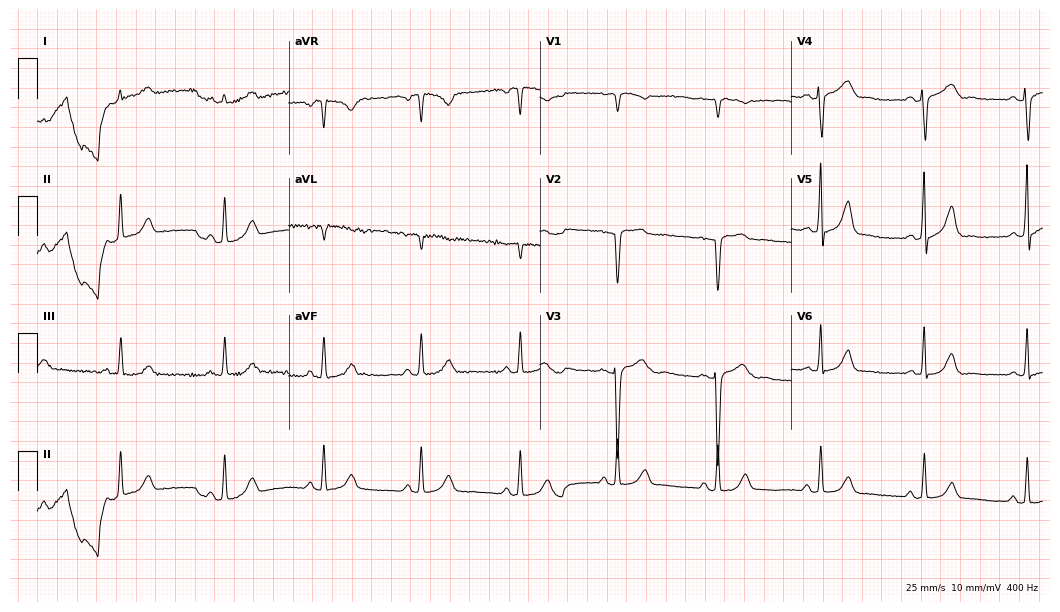
ECG — a female, 34 years old. Labelled as a normal ECG.